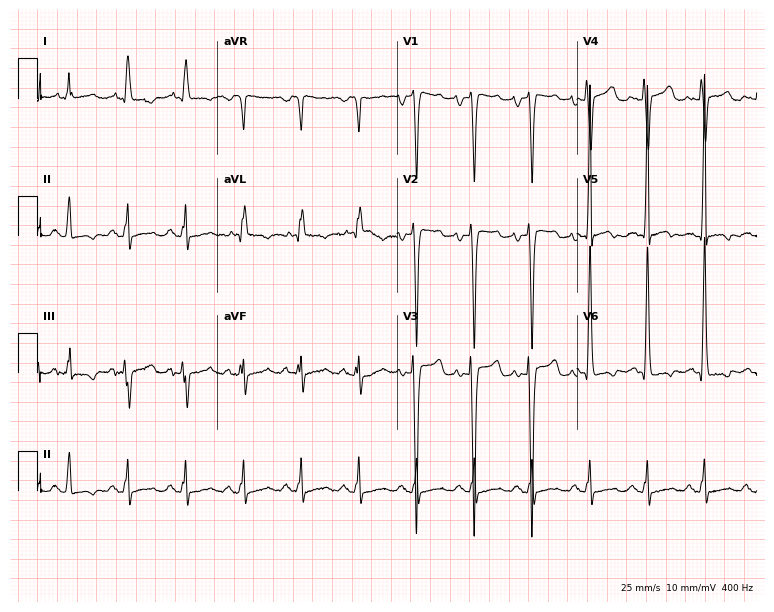
Standard 12-lead ECG recorded from a 48-year-old male. The tracing shows sinus tachycardia (a sinus rate of 100 beats per minute or more).